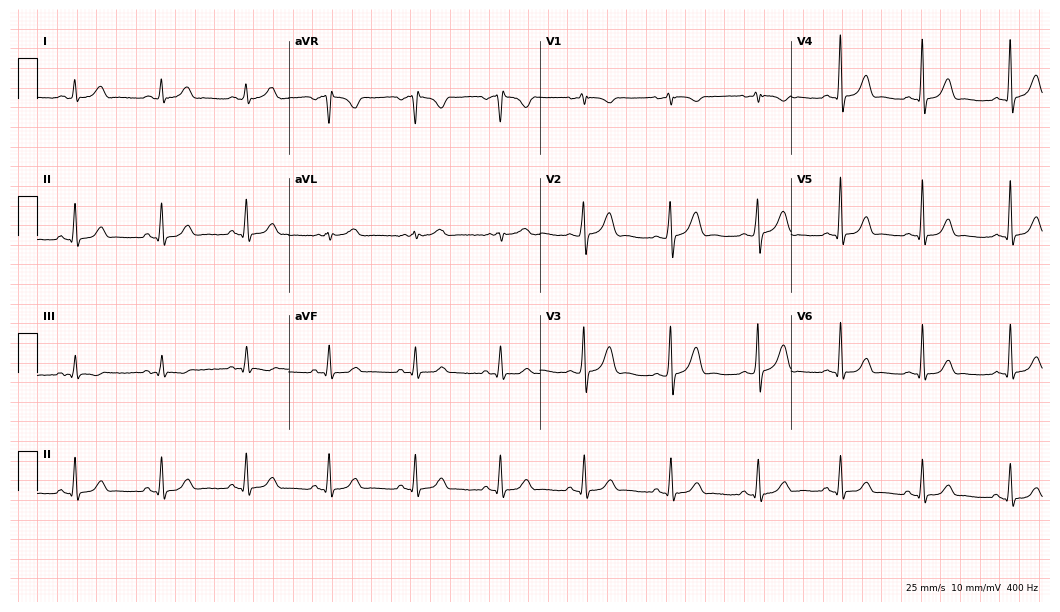
Resting 12-lead electrocardiogram. Patient: a 40-year-old female. None of these six findings is recorded: first-degree AV block, right bundle branch block (RBBB), left bundle branch block (LBBB), sinus bradycardia, atrial fibrillation (AF), sinus tachycardia.